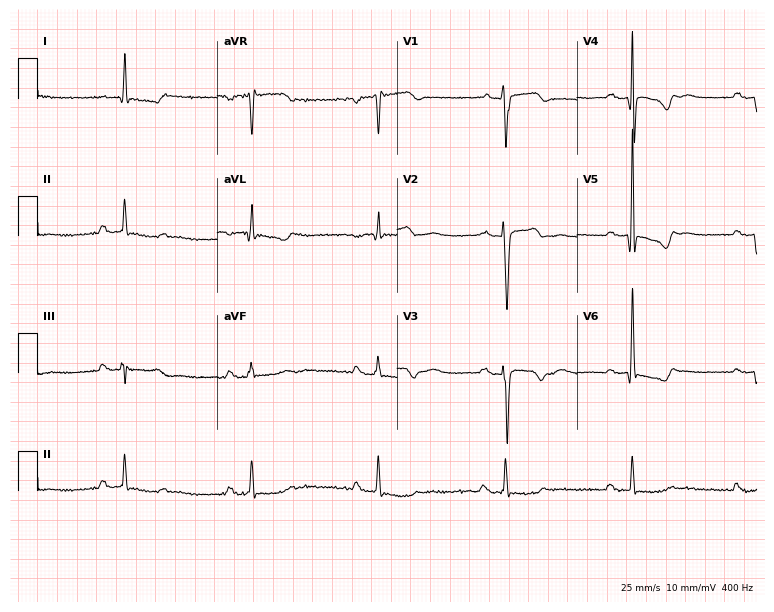
Standard 12-lead ECG recorded from a 61-year-old male (7.3-second recording at 400 Hz). The tracing shows sinus bradycardia (a sinus rate of 50 beats per minute or less).